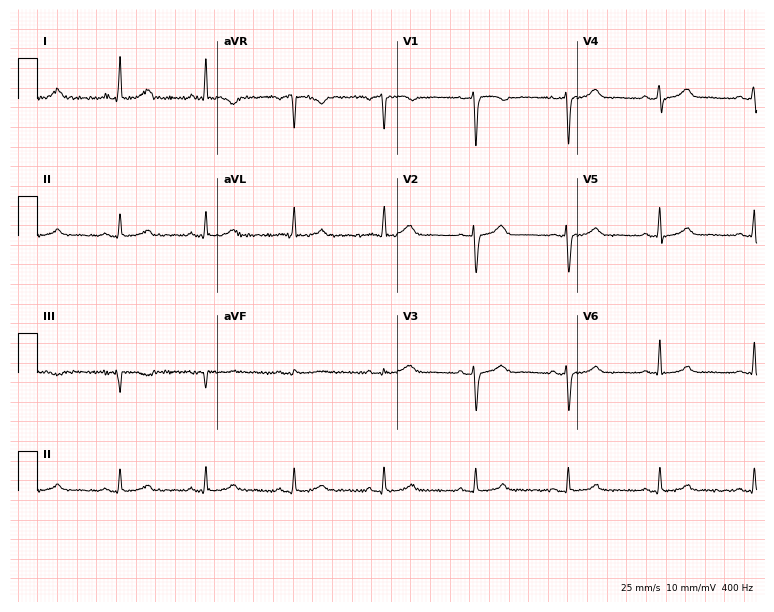
12-lead ECG from a woman, 47 years old. No first-degree AV block, right bundle branch block, left bundle branch block, sinus bradycardia, atrial fibrillation or sinus tachycardia recorded for this tracing.